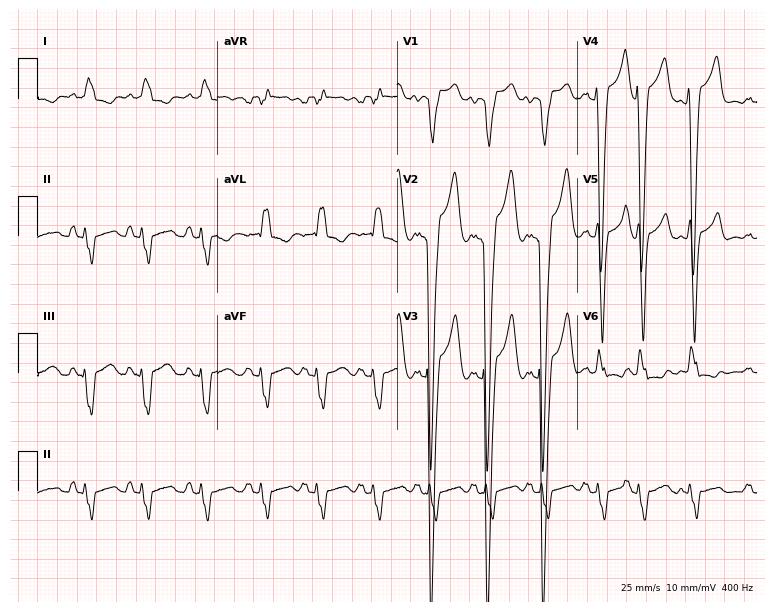
ECG (7.3-second recording at 400 Hz) — a 79-year-old male patient. Findings include left bundle branch block (LBBB), sinus tachycardia (a sinus rate of 100 beats per minute or more).